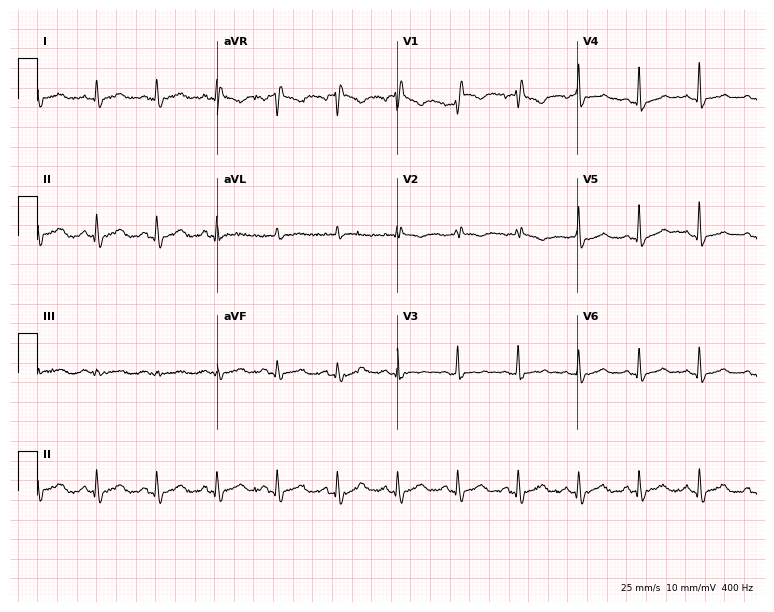
Electrocardiogram, a woman, 54 years old. Of the six screened findings (first-degree AV block, right bundle branch block, left bundle branch block, sinus bradycardia, atrial fibrillation, sinus tachycardia), none is recorded.